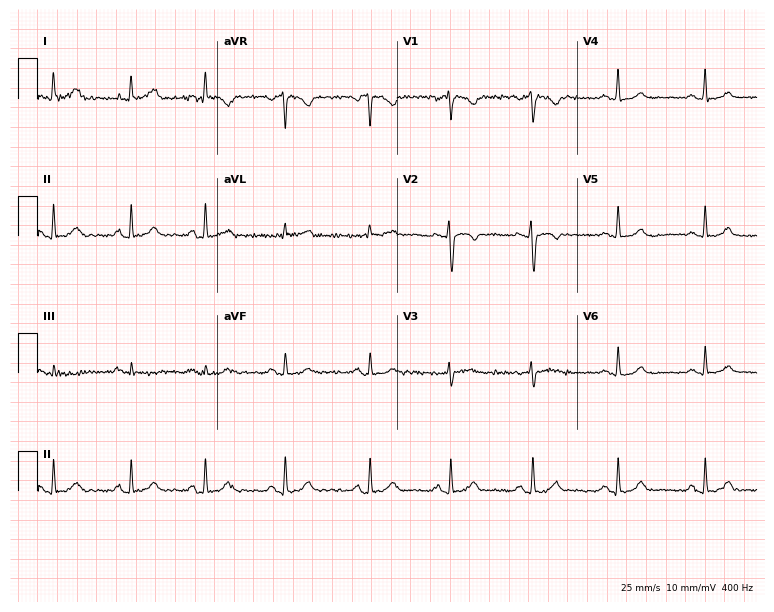
12-lead ECG (7.3-second recording at 400 Hz) from a woman, 30 years old. Labelled as a normal ECG.